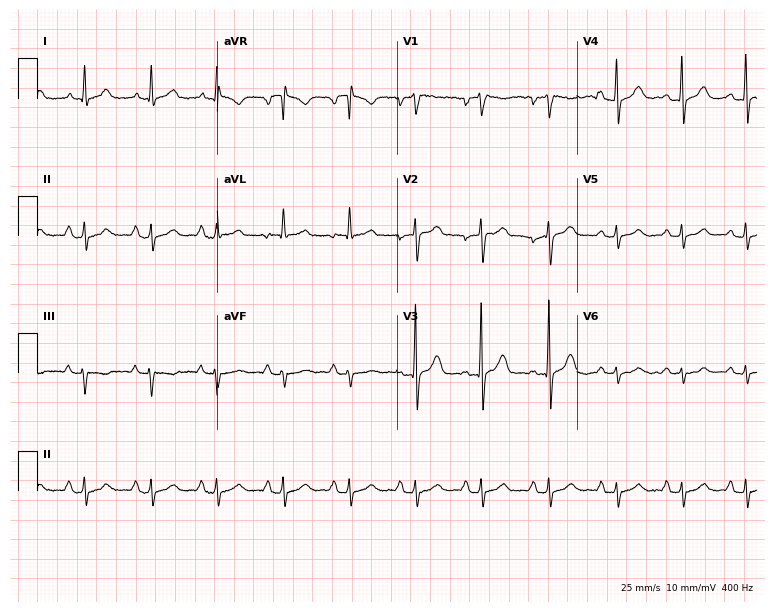
Standard 12-lead ECG recorded from a female, 39 years old (7.3-second recording at 400 Hz). None of these six findings is recorded: first-degree AV block, right bundle branch block, left bundle branch block, sinus bradycardia, atrial fibrillation, sinus tachycardia.